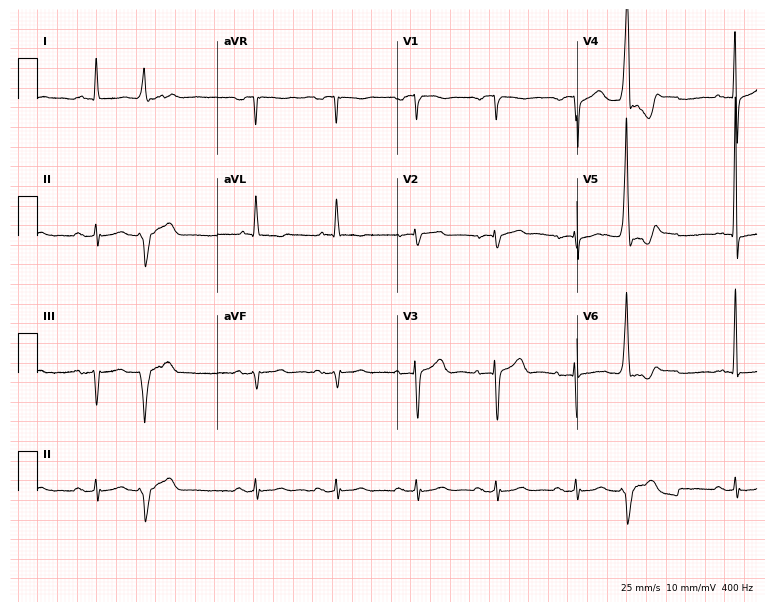
Electrocardiogram, a 74-year-old man. Of the six screened findings (first-degree AV block, right bundle branch block (RBBB), left bundle branch block (LBBB), sinus bradycardia, atrial fibrillation (AF), sinus tachycardia), none is recorded. Only these six findings were labelled.